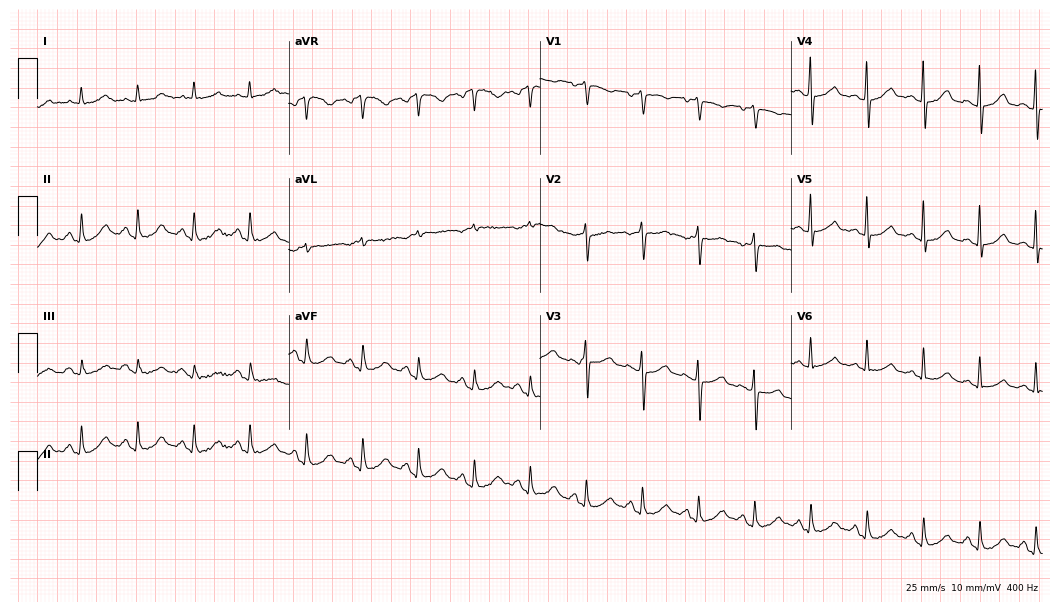
12-lead ECG from a female, 81 years old. Shows sinus tachycardia (a sinus rate of 100 beats per minute or more).